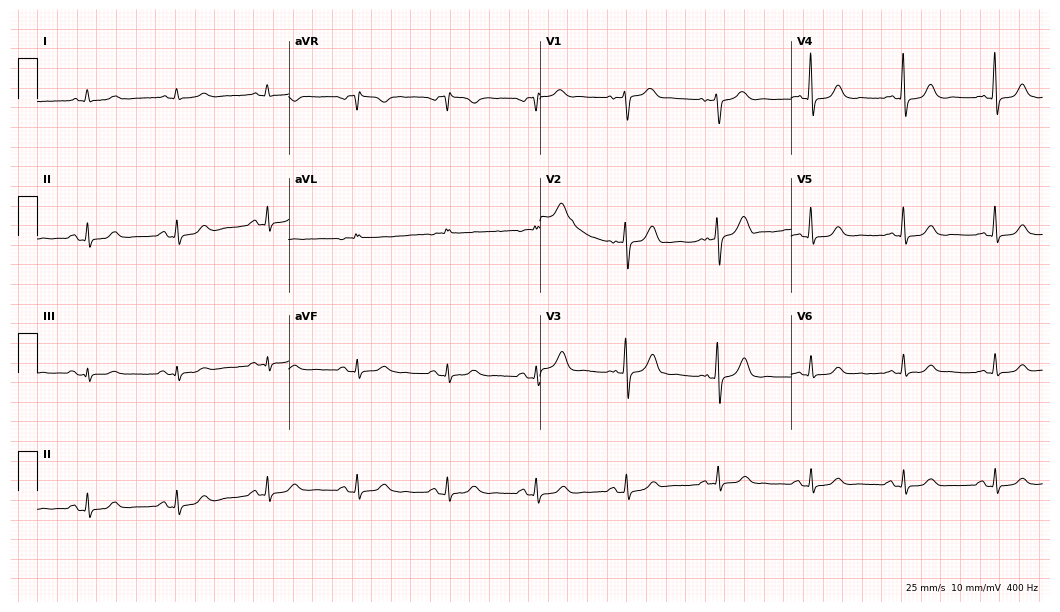
12-lead ECG from a woman, 63 years old. Recorded interpretation: within normal limits.